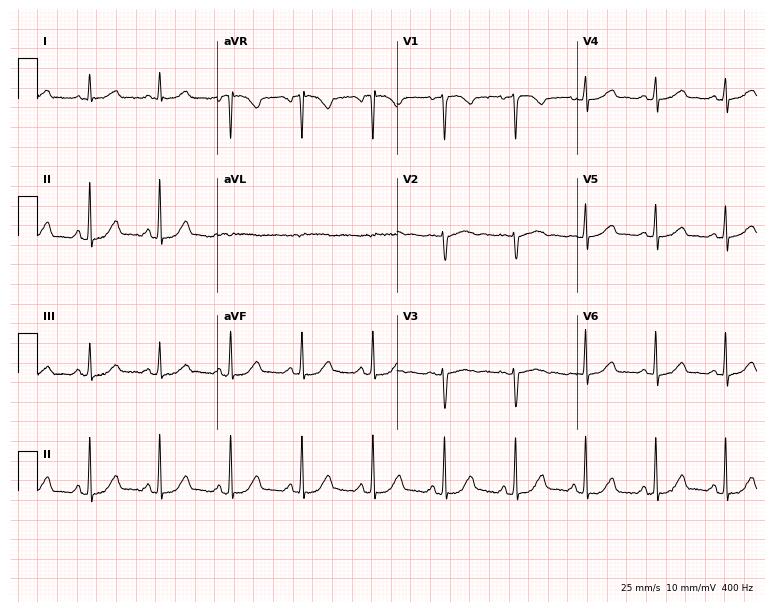
Electrocardiogram, a 54-year-old female. Of the six screened findings (first-degree AV block, right bundle branch block (RBBB), left bundle branch block (LBBB), sinus bradycardia, atrial fibrillation (AF), sinus tachycardia), none is recorded. Findings outside these six are not listed.